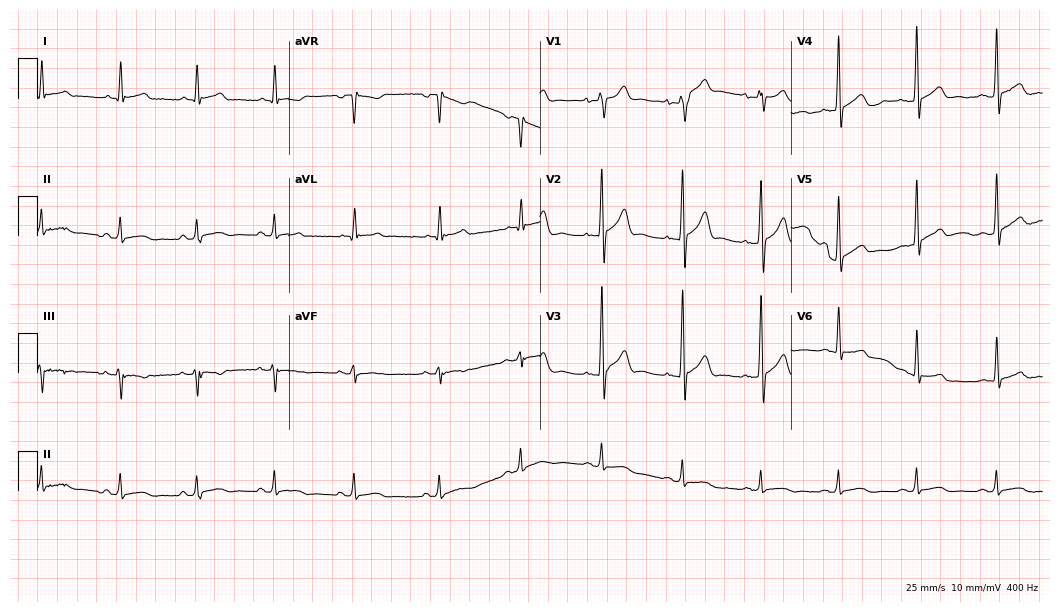
ECG — a male, 33 years old. Screened for six findings — first-degree AV block, right bundle branch block (RBBB), left bundle branch block (LBBB), sinus bradycardia, atrial fibrillation (AF), sinus tachycardia — none is recorded.